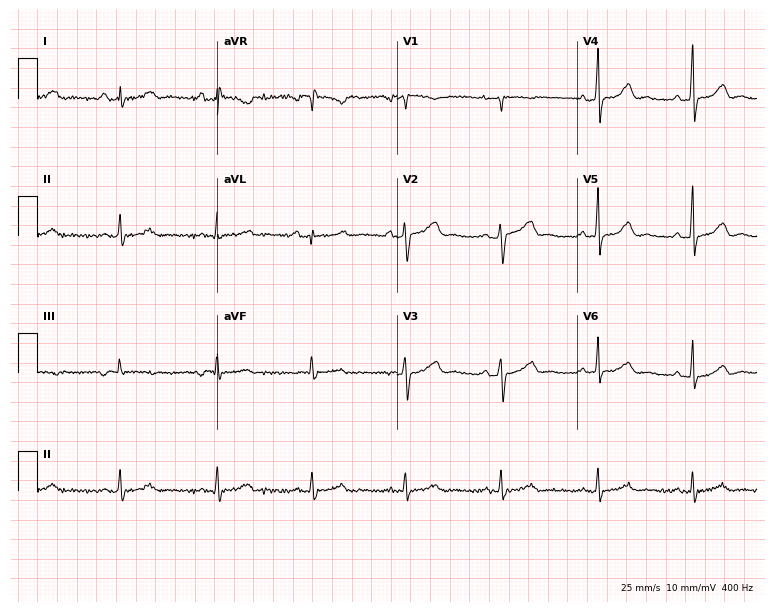
Resting 12-lead electrocardiogram. Patient: a 49-year-old female. Read as a normal ECG.